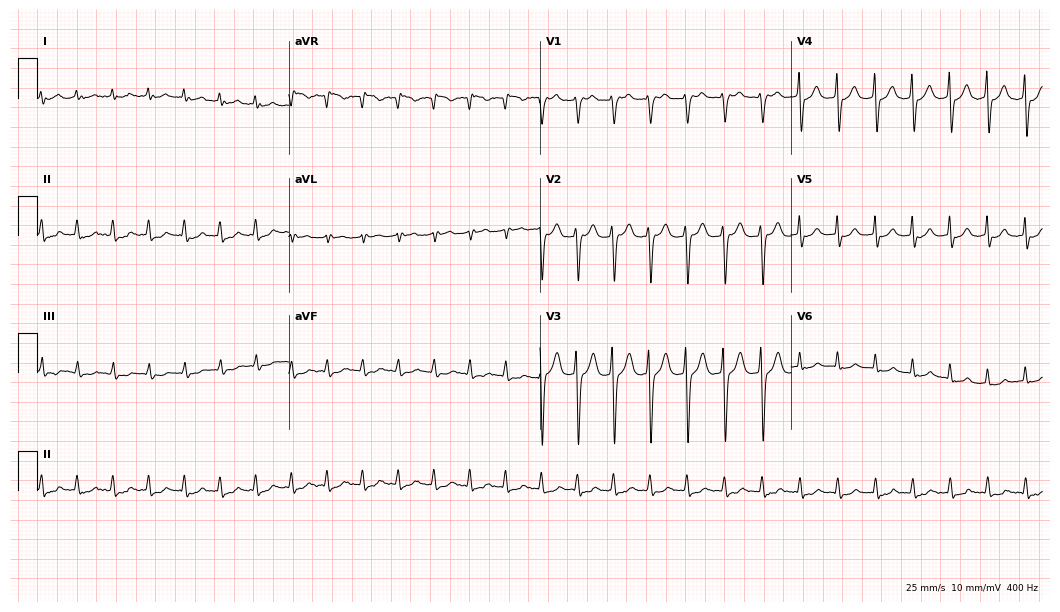
12-lead ECG (10.2-second recording at 400 Hz) from a 66-year-old man. Screened for six findings — first-degree AV block, right bundle branch block, left bundle branch block, sinus bradycardia, atrial fibrillation, sinus tachycardia — none is recorded. Findings outside these six are not listed.